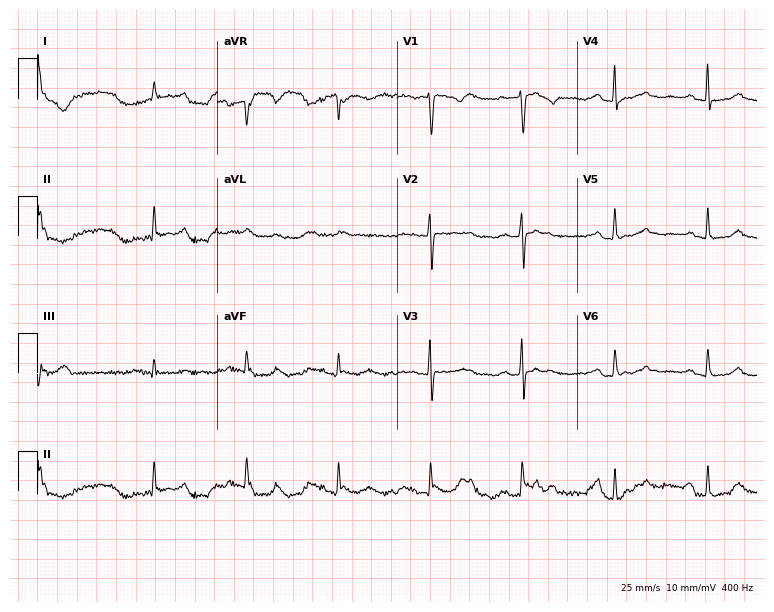
Standard 12-lead ECG recorded from a woman, 79 years old (7.3-second recording at 400 Hz). None of these six findings is recorded: first-degree AV block, right bundle branch block, left bundle branch block, sinus bradycardia, atrial fibrillation, sinus tachycardia. Findings outside these six are not listed.